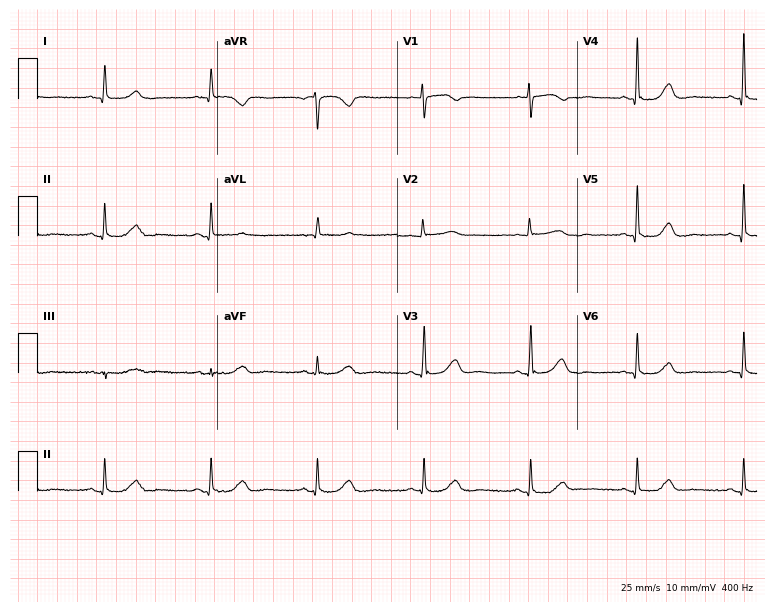
ECG — a female patient, 72 years old. Labelled as a normal ECG.